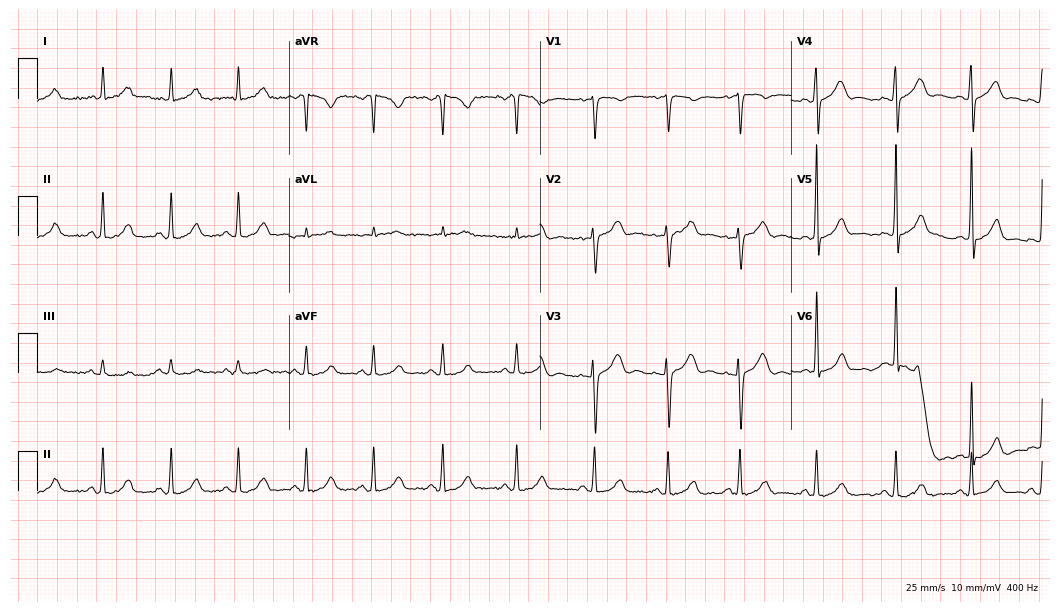
Electrocardiogram, a 25-year-old female. Overall reading on record: normal ECG.